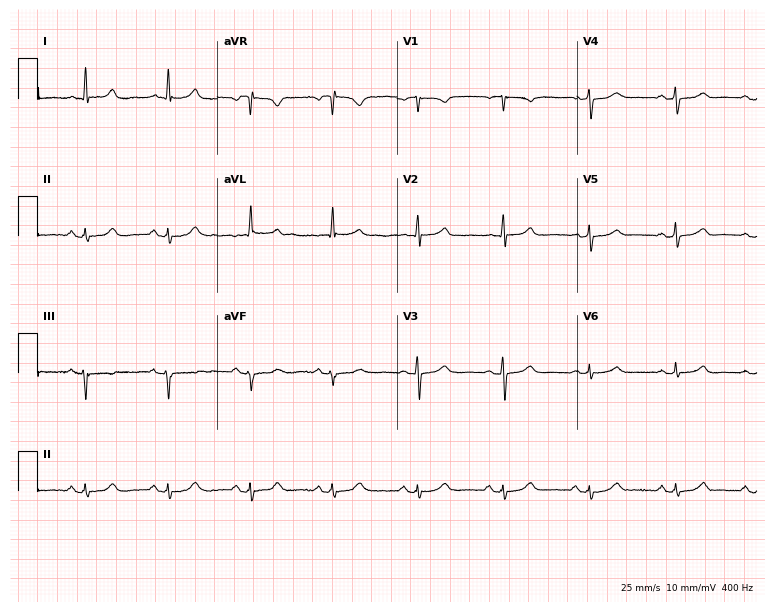
Resting 12-lead electrocardiogram (7.3-second recording at 400 Hz). Patient: a woman, 68 years old. Read as a normal ECG.